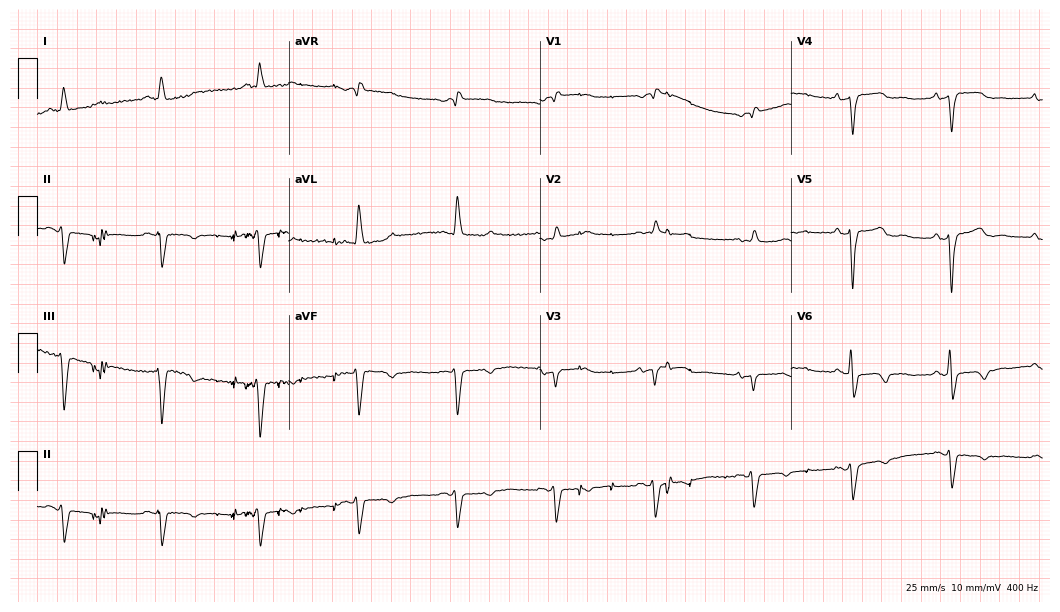
12-lead ECG from a woman, 84 years old. Findings include right bundle branch block.